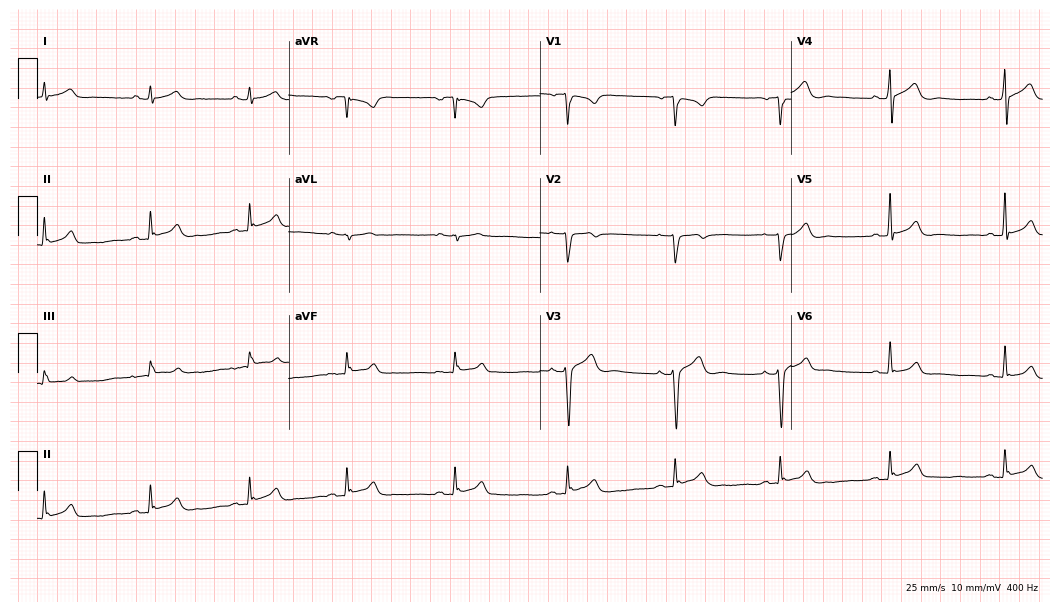
ECG (10.2-second recording at 400 Hz) — a 37-year-old man. Screened for six findings — first-degree AV block, right bundle branch block, left bundle branch block, sinus bradycardia, atrial fibrillation, sinus tachycardia — none is recorded. Other findings, if any, are not listed.